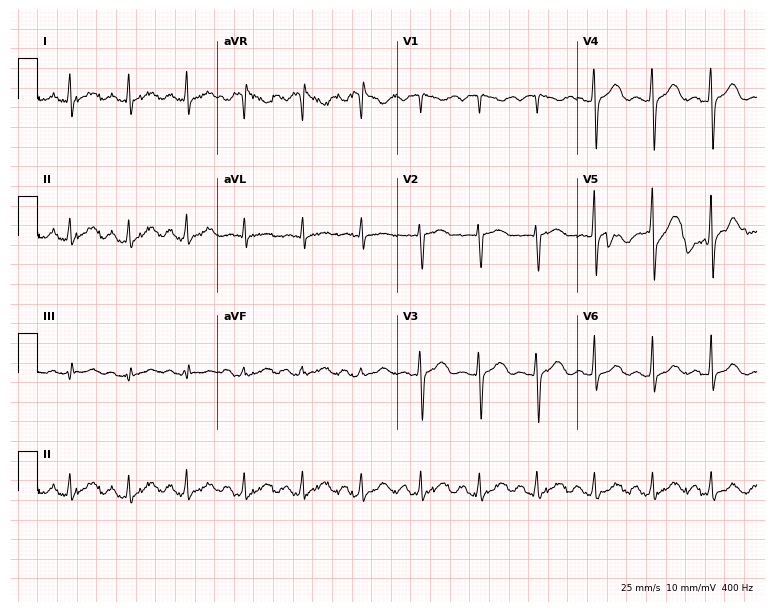
12-lead ECG from a 24-year-old female. Labelled as a normal ECG.